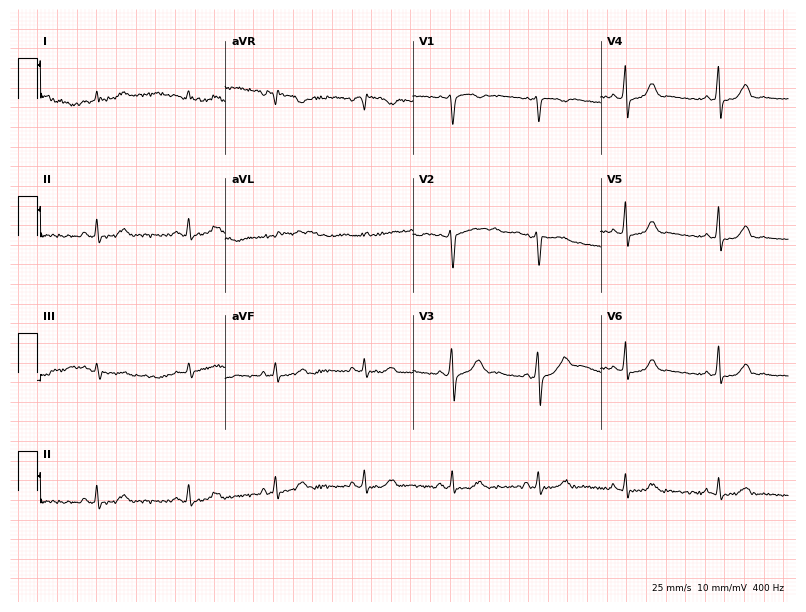
ECG (7.7-second recording at 400 Hz) — a female patient, 52 years old. Screened for six findings — first-degree AV block, right bundle branch block, left bundle branch block, sinus bradycardia, atrial fibrillation, sinus tachycardia — none is recorded. Only these six findings were labelled.